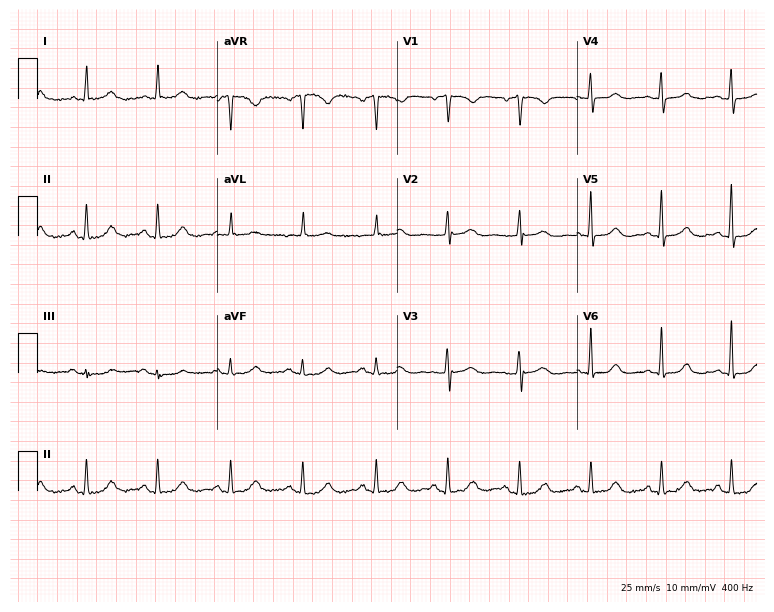
Standard 12-lead ECG recorded from a woman, 72 years old. Read as a normal ECG.